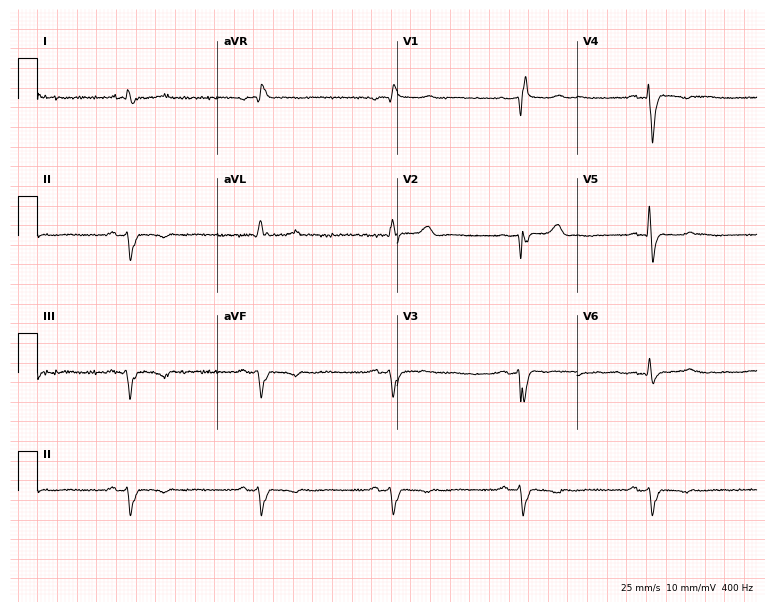
Resting 12-lead electrocardiogram (7.3-second recording at 400 Hz). Patient: a man, 84 years old. None of these six findings is recorded: first-degree AV block, right bundle branch block, left bundle branch block, sinus bradycardia, atrial fibrillation, sinus tachycardia.